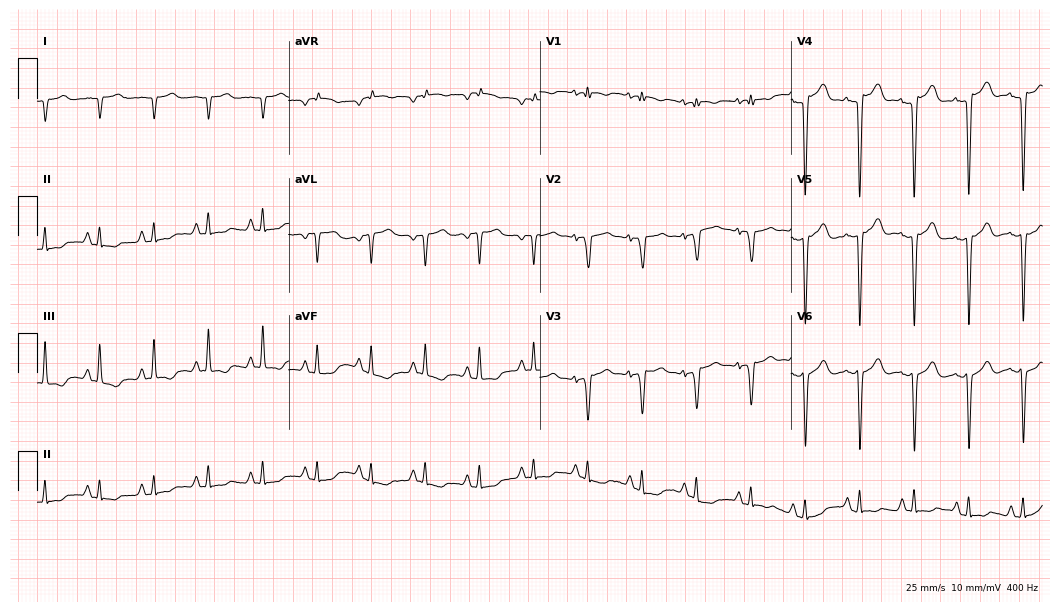
Resting 12-lead electrocardiogram (10.2-second recording at 400 Hz). Patient: a woman, 45 years old. The tracing shows sinus tachycardia (a sinus rate of 100 beats per minute or more).